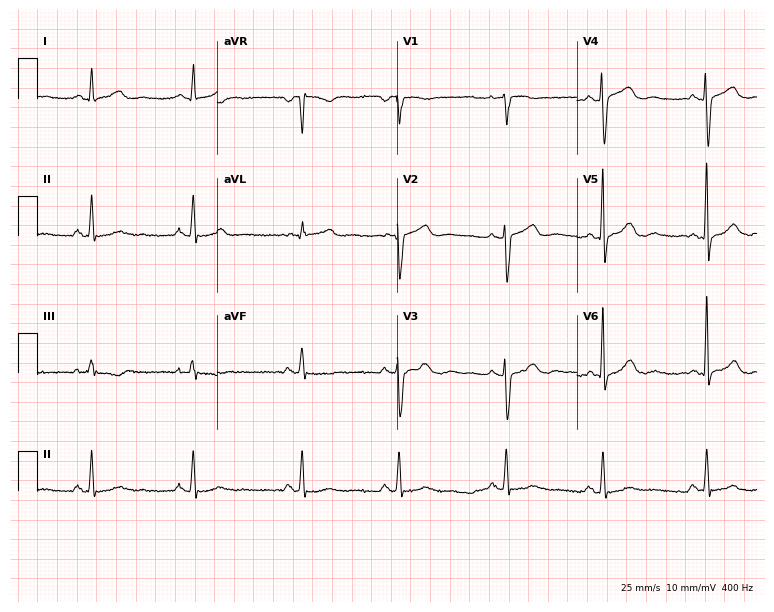
Resting 12-lead electrocardiogram (7.3-second recording at 400 Hz). Patient: a 28-year-old woman. None of these six findings is recorded: first-degree AV block, right bundle branch block, left bundle branch block, sinus bradycardia, atrial fibrillation, sinus tachycardia.